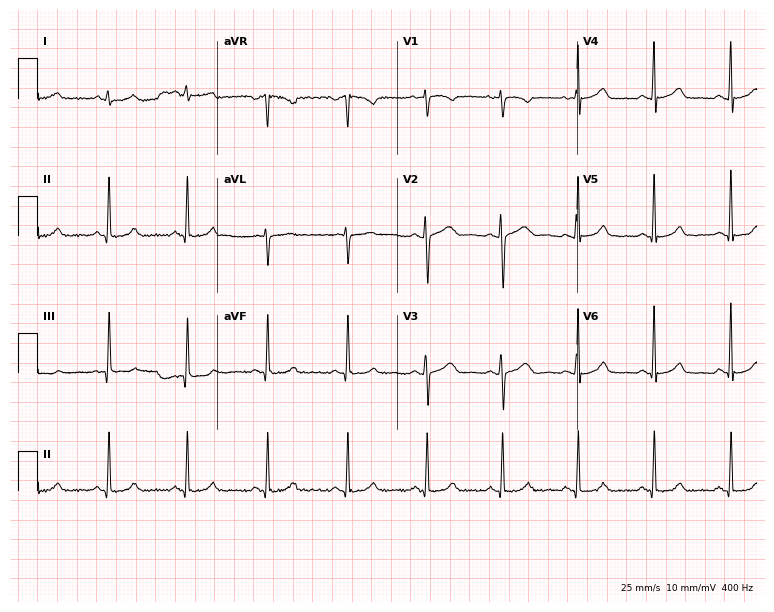
12-lead ECG from a female patient, 33 years old. Labelled as a normal ECG.